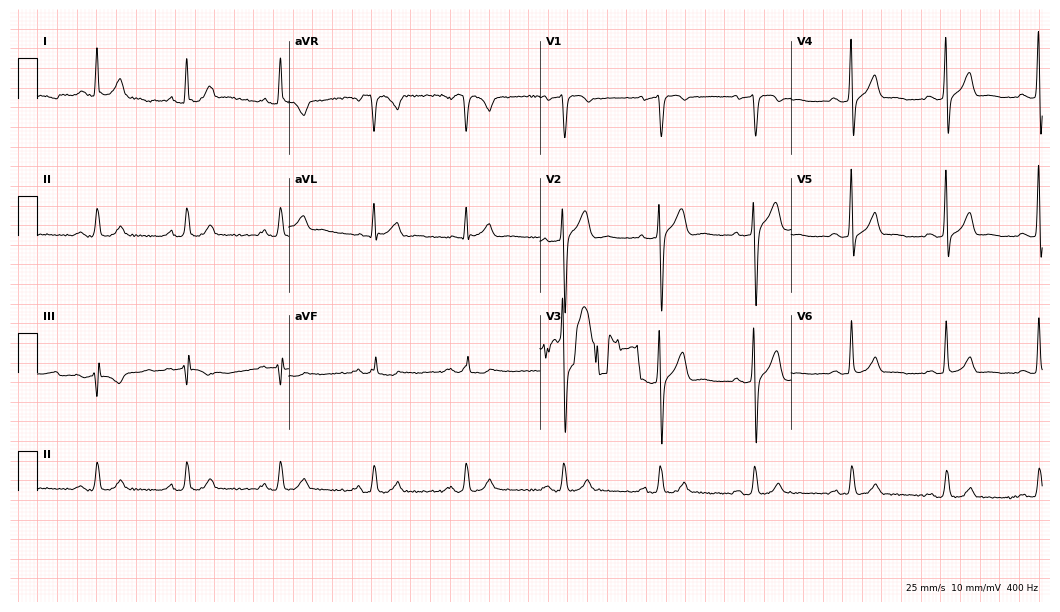
Electrocardiogram (10.2-second recording at 400 Hz), a 35-year-old male patient. Overall reading on record: normal ECG.